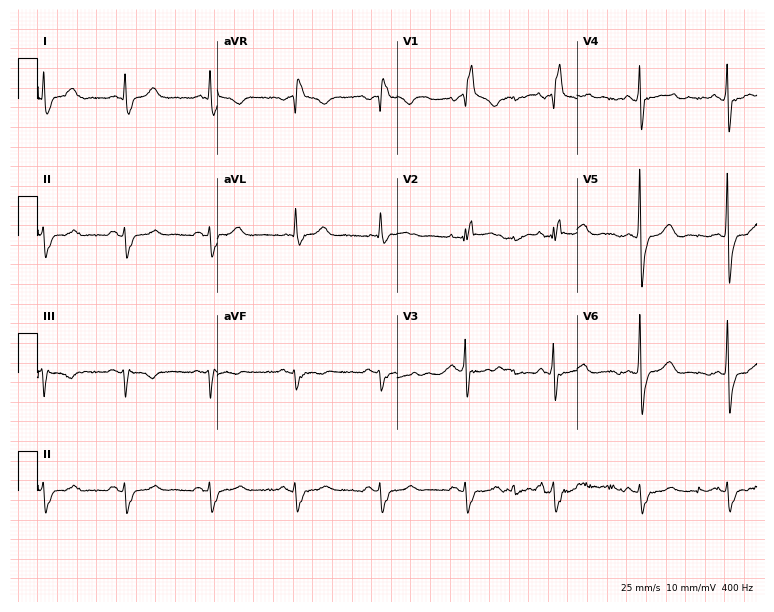
Electrocardiogram (7.3-second recording at 400 Hz), a 77-year-old man. Of the six screened findings (first-degree AV block, right bundle branch block, left bundle branch block, sinus bradycardia, atrial fibrillation, sinus tachycardia), none is recorded. Other findings, if any, are not listed.